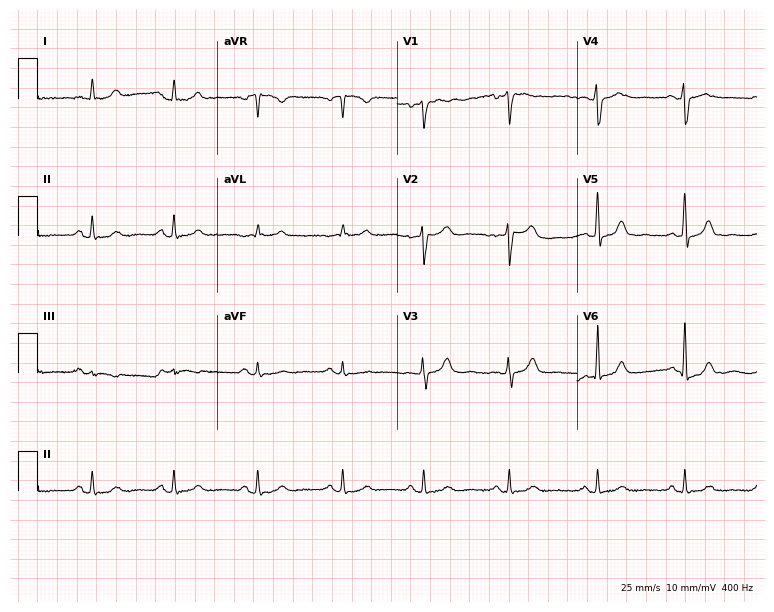
12-lead ECG from a female patient, 56 years old (7.3-second recording at 400 Hz). Recorded interpretation: within normal limits.